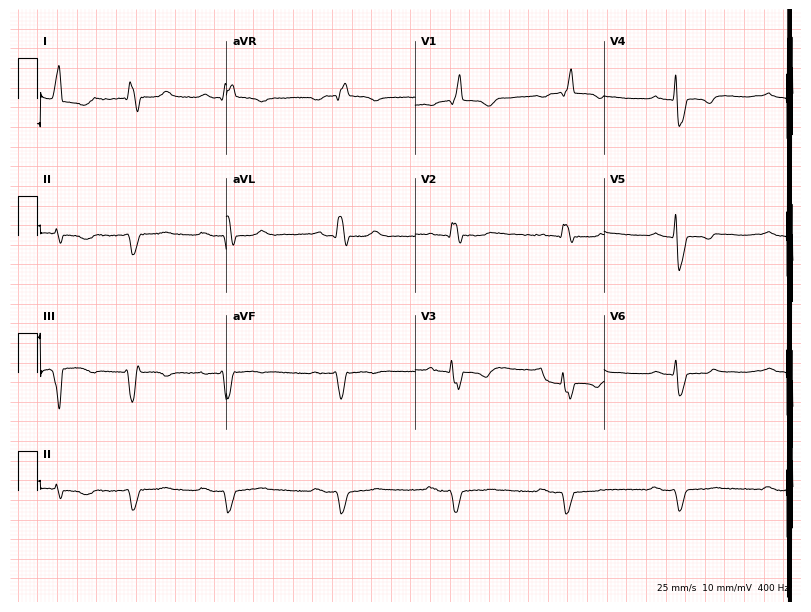
12-lead ECG (7.7-second recording at 400 Hz) from a male patient, 76 years old. Findings include right bundle branch block, atrial fibrillation.